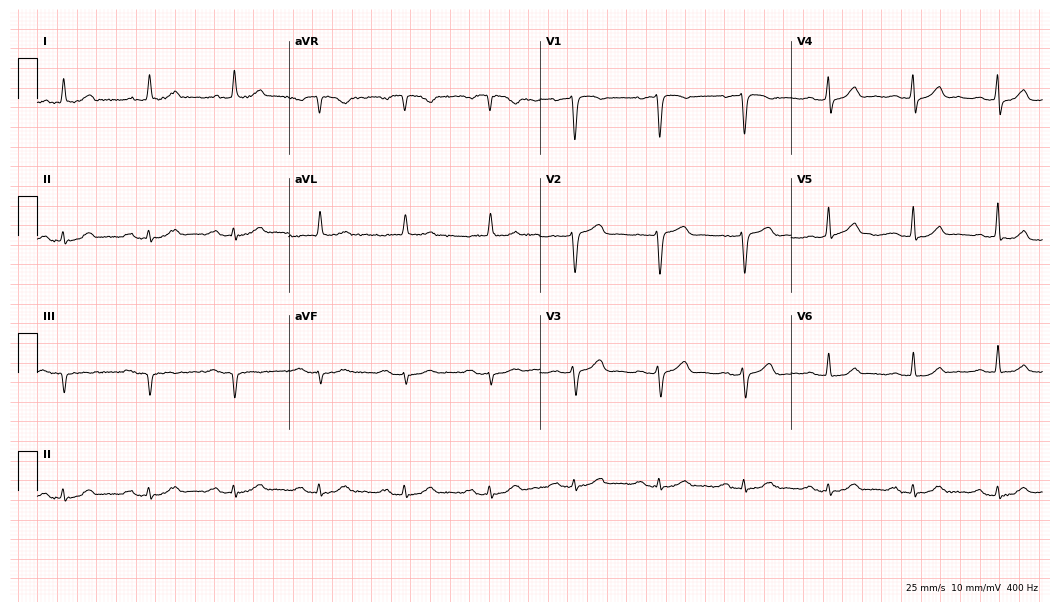
ECG — a 70-year-old male patient. Findings include first-degree AV block.